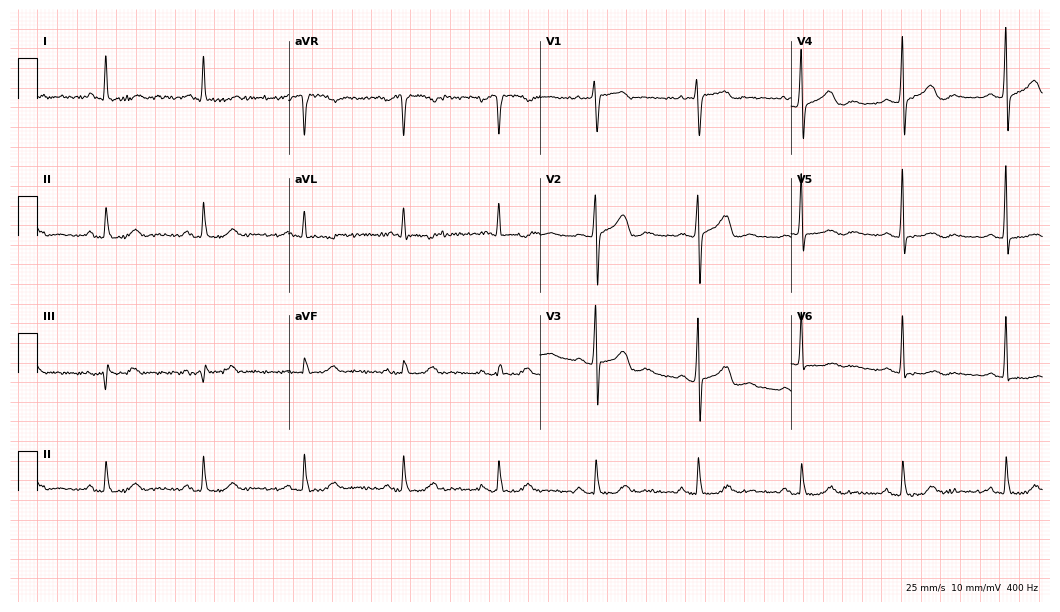
Electrocardiogram (10.2-second recording at 400 Hz), a female patient, 77 years old. Of the six screened findings (first-degree AV block, right bundle branch block, left bundle branch block, sinus bradycardia, atrial fibrillation, sinus tachycardia), none is recorded.